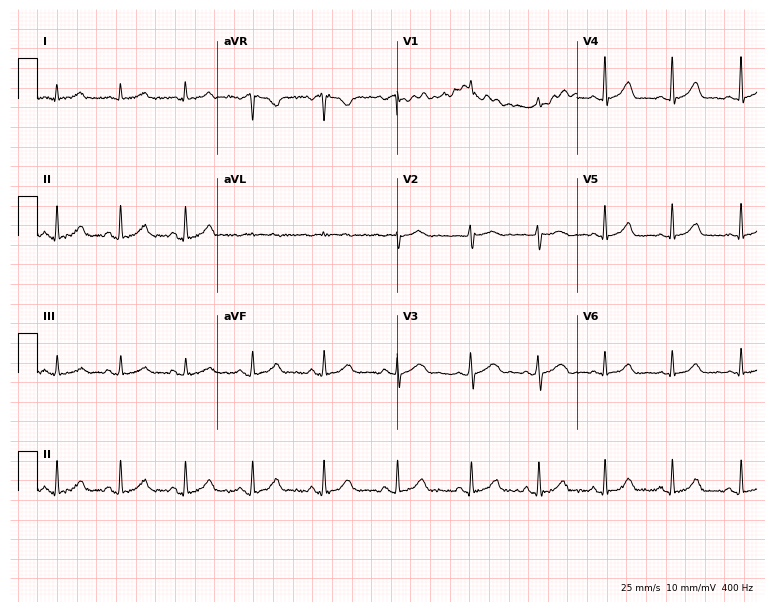
ECG — a 32-year-old woman. Labelled as a normal ECG.